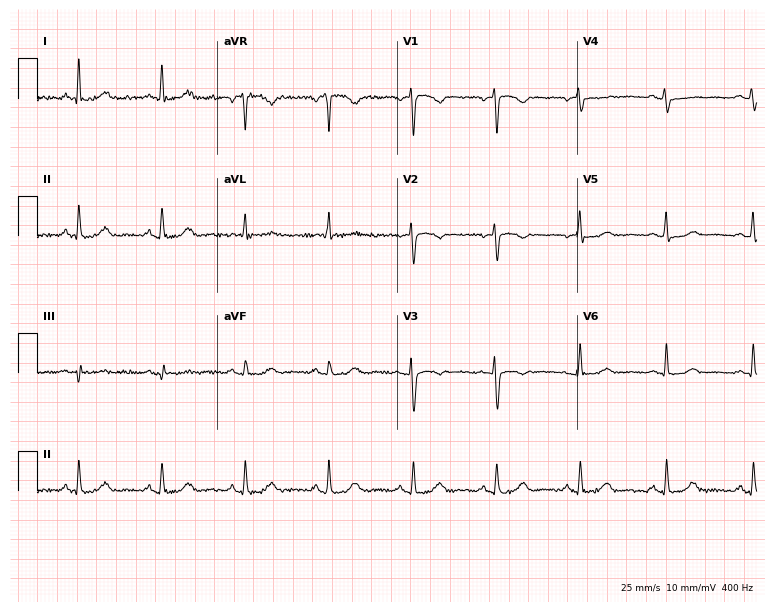
Standard 12-lead ECG recorded from a 48-year-old female (7.3-second recording at 400 Hz). None of these six findings is recorded: first-degree AV block, right bundle branch block, left bundle branch block, sinus bradycardia, atrial fibrillation, sinus tachycardia.